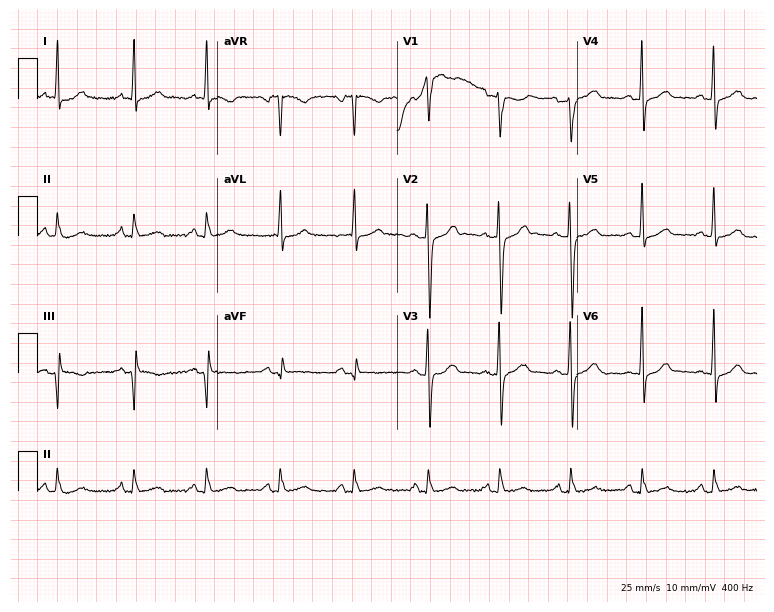
12-lead ECG from a male, 57 years old (7.3-second recording at 400 Hz). No first-degree AV block, right bundle branch block, left bundle branch block, sinus bradycardia, atrial fibrillation or sinus tachycardia recorded for this tracing.